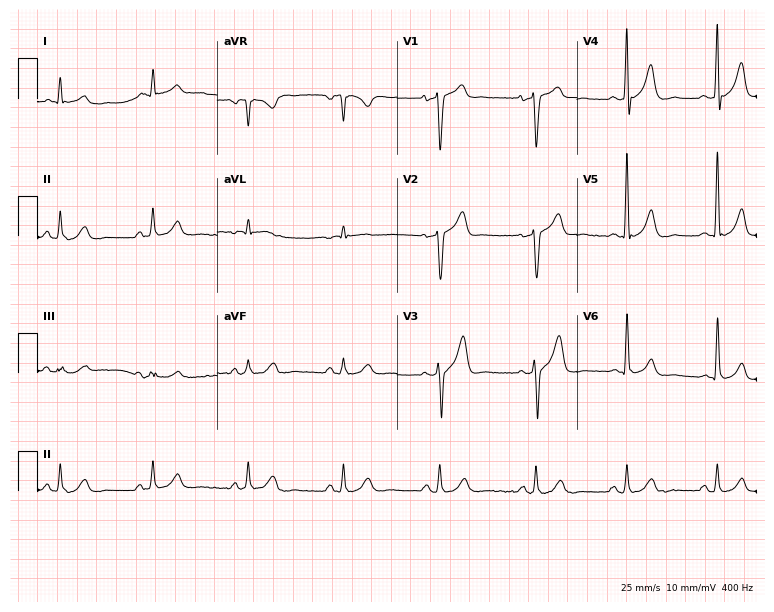
12-lead ECG from a 65-year-old man. No first-degree AV block, right bundle branch block (RBBB), left bundle branch block (LBBB), sinus bradycardia, atrial fibrillation (AF) or sinus tachycardia recorded for this tracing.